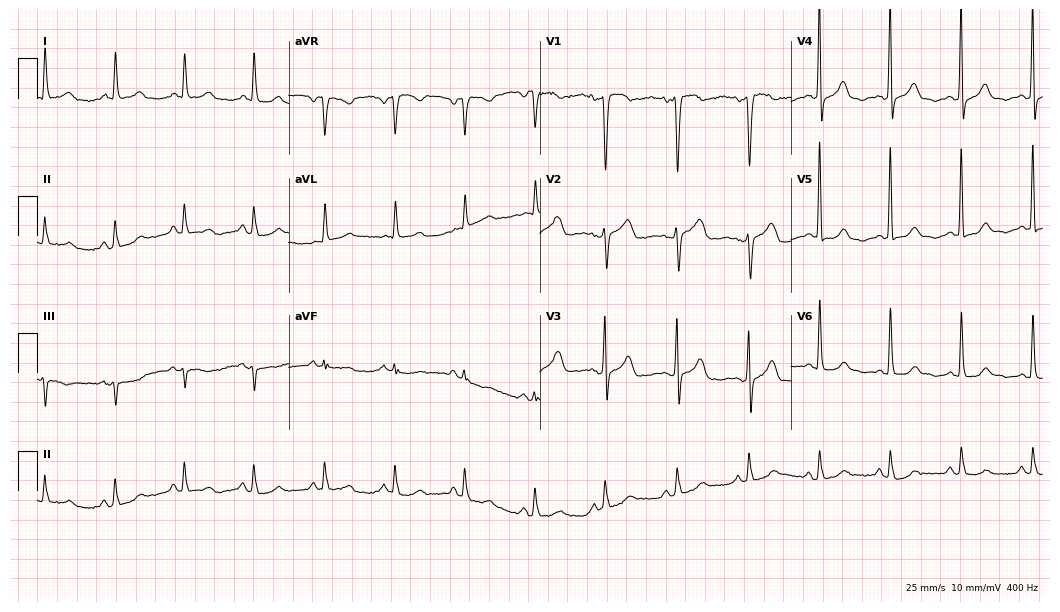
12-lead ECG from a 67-year-old female patient. Labelled as a normal ECG.